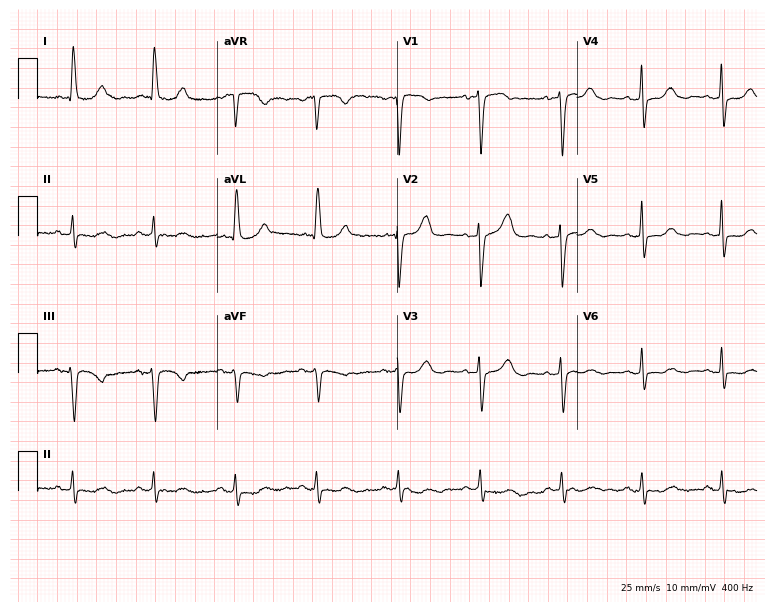
ECG — an 81-year-old female patient. Screened for six findings — first-degree AV block, right bundle branch block, left bundle branch block, sinus bradycardia, atrial fibrillation, sinus tachycardia — none is recorded. Findings outside these six are not listed.